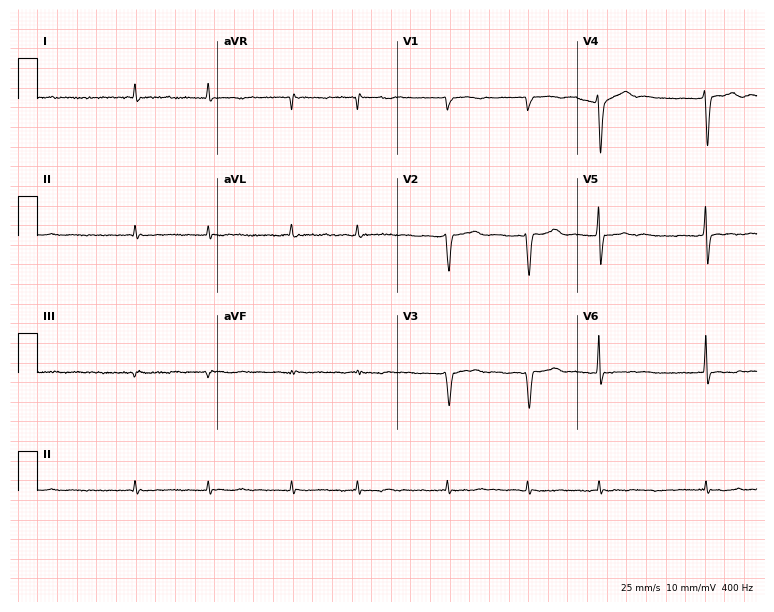
Standard 12-lead ECG recorded from a man, 85 years old (7.3-second recording at 400 Hz). None of these six findings is recorded: first-degree AV block, right bundle branch block (RBBB), left bundle branch block (LBBB), sinus bradycardia, atrial fibrillation (AF), sinus tachycardia.